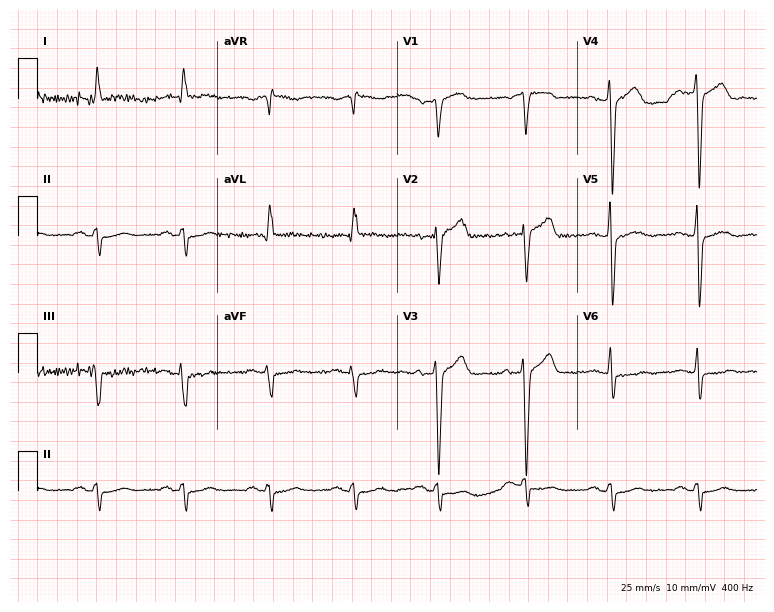
ECG (7.3-second recording at 400 Hz) — a male, 65 years old. Screened for six findings — first-degree AV block, right bundle branch block (RBBB), left bundle branch block (LBBB), sinus bradycardia, atrial fibrillation (AF), sinus tachycardia — none is recorded. Only these six findings were labelled.